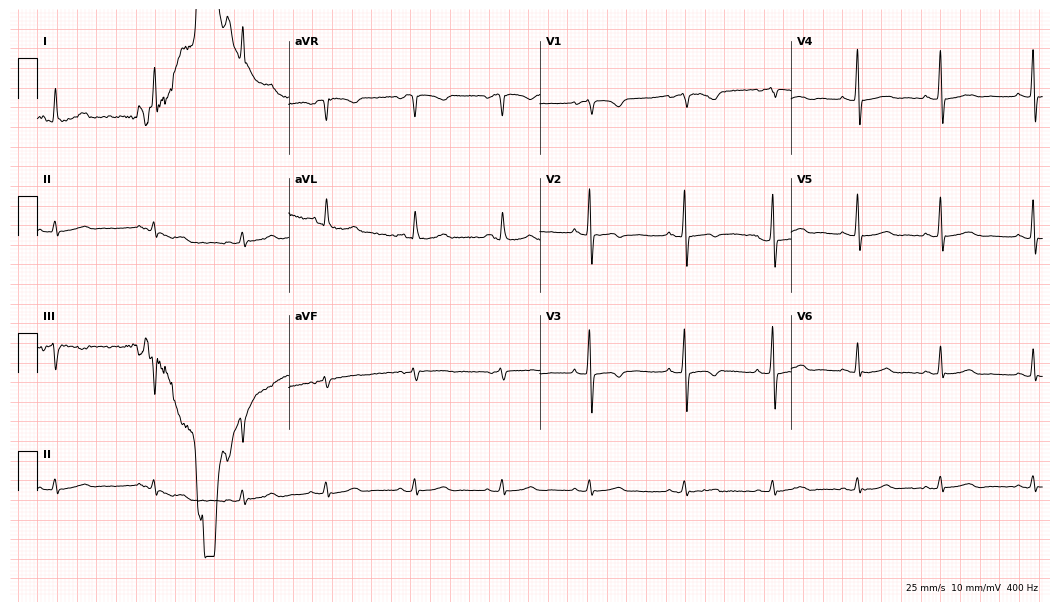
ECG (10.2-second recording at 400 Hz) — a 58-year-old woman. Screened for six findings — first-degree AV block, right bundle branch block, left bundle branch block, sinus bradycardia, atrial fibrillation, sinus tachycardia — none is recorded. Only these six findings were labelled.